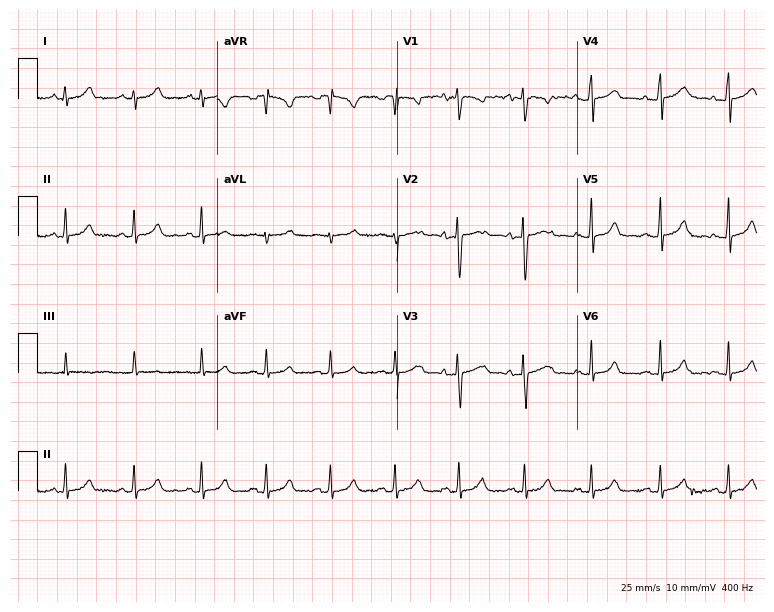
Standard 12-lead ECG recorded from a 25-year-old male patient. Read as a normal ECG.